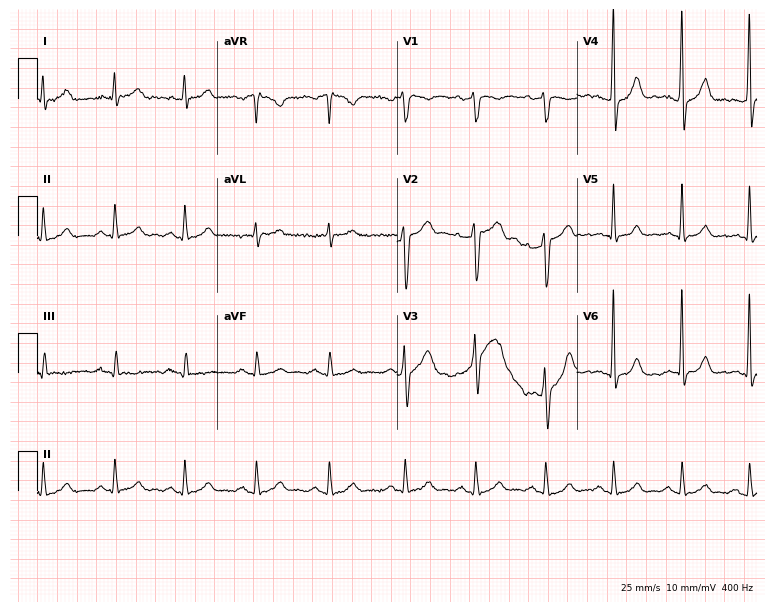
Resting 12-lead electrocardiogram. Patient: a male, 45 years old. Read as a normal ECG.